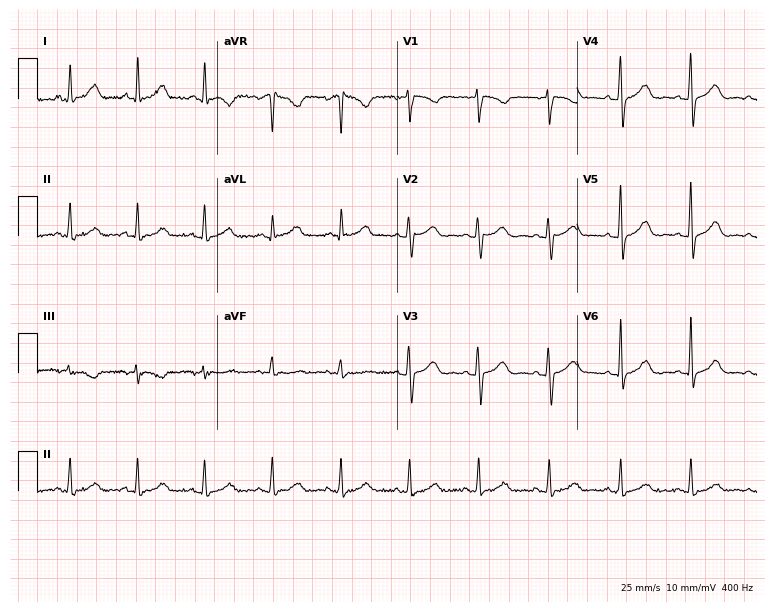
Electrocardiogram, a woman, 46 years old. Overall reading on record: normal ECG.